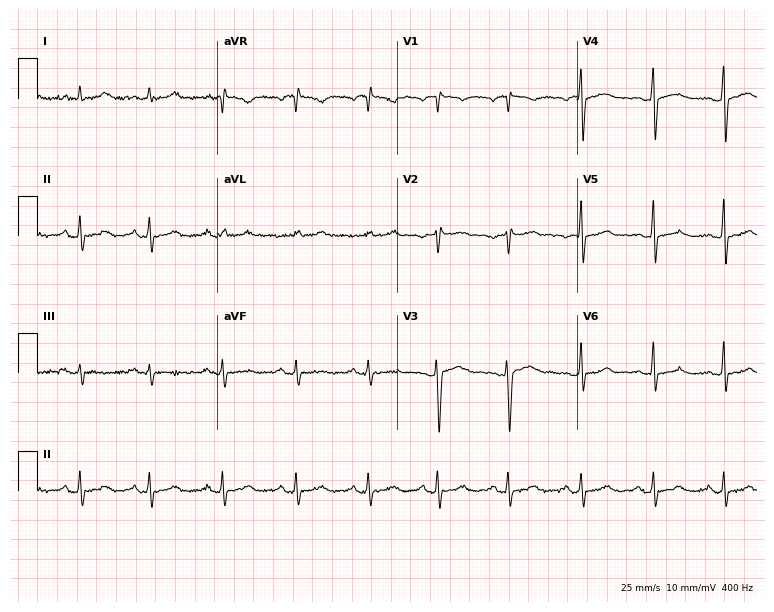
ECG (7.3-second recording at 400 Hz) — a woman, 23 years old. Screened for six findings — first-degree AV block, right bundle branch block (RBBB), left bundle branch block (LBBB), sinus bradycardia, atrial fibrillation (AF), sinus tachycardia — none is recorded.